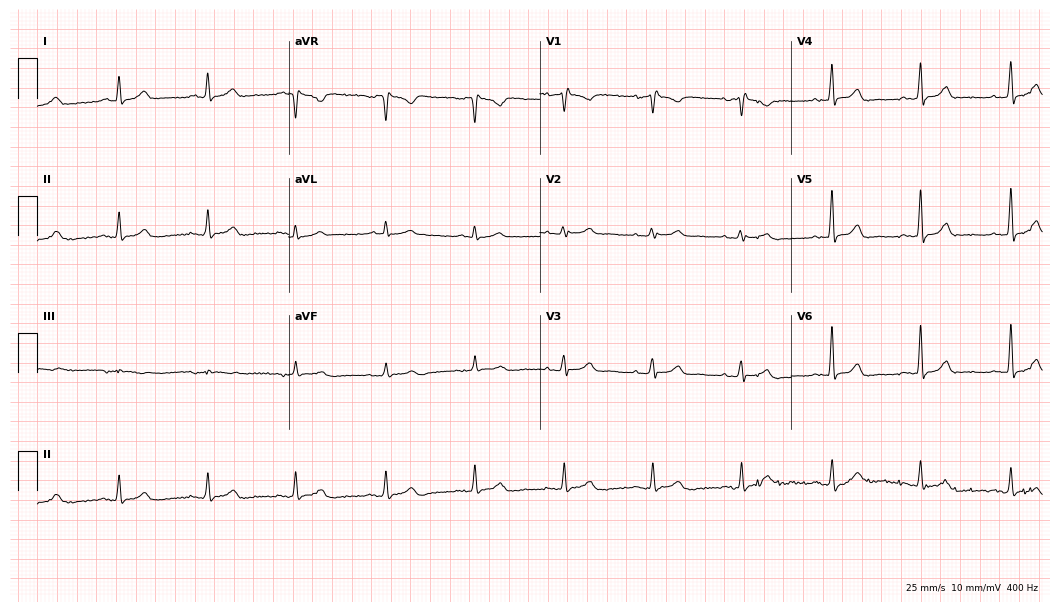
12-lead ECG from a female, 59 years old. No first-degree AV block, right bundle branch block (RBBB), left bundle branch block (LBBB), sinus bradycardia, atrial fibrillation (AF) or sinus tachycardia recorded for this tracing.